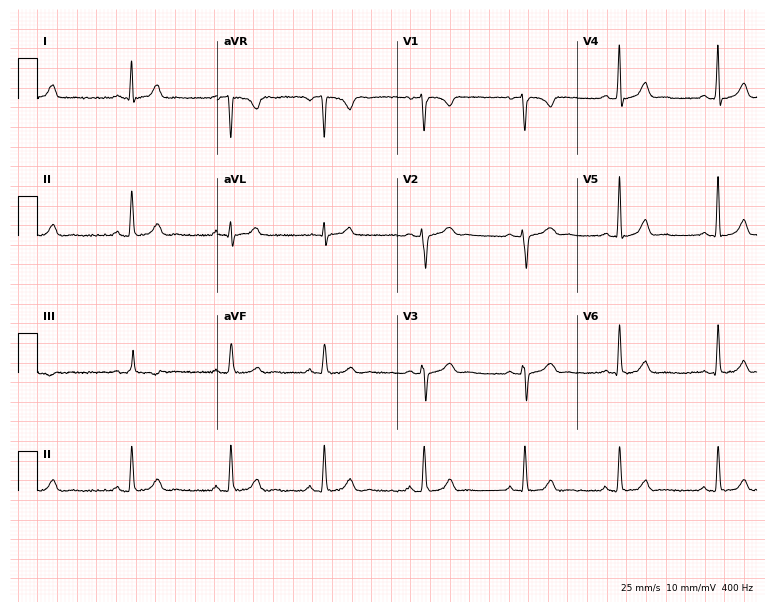
12-lead ECG (7.3-second recording at 400 Hz) from a female, 33 years old. Labelled as a normal ECG.